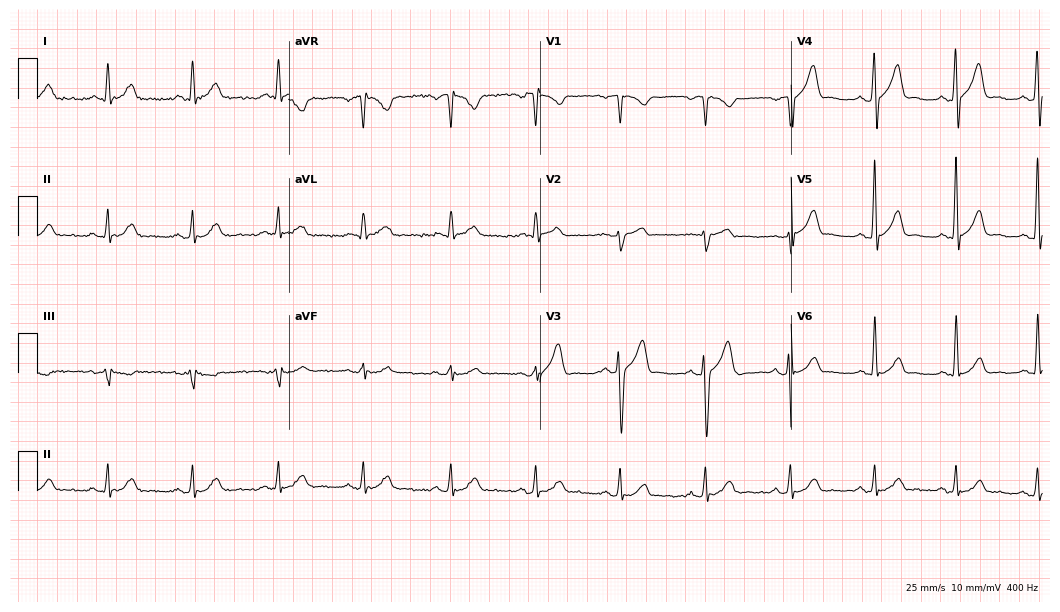
Standard 12-lead ECG recorded from a man, 37 years old (10.2-second recording at 400 Hz). None of these six findings is recorded: first-degree AV block, right bundle branch block, left bundle branch block, sinus bradycardia, atrial fibrillation, sinus tachycardia.